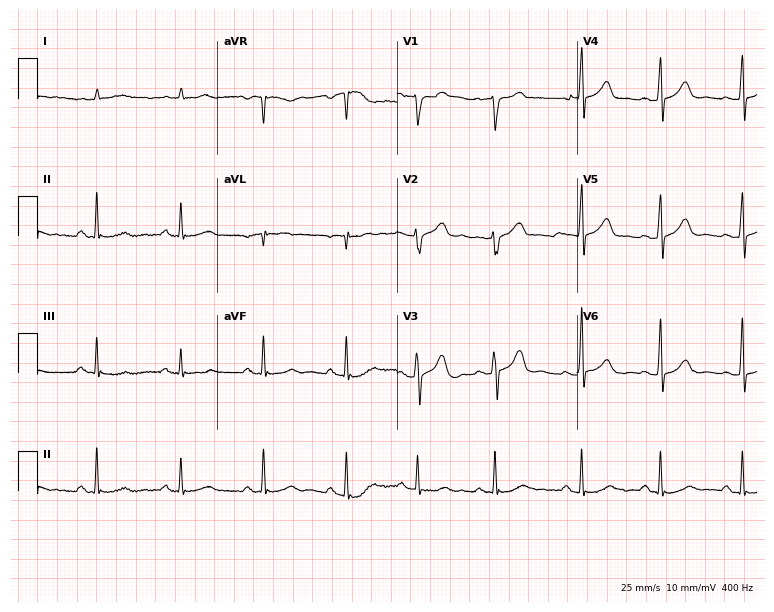
Electrocardiogram (7.3-second recording at 400 Hz), a male patient, 78 years old. Of the six screened findings (first-degree AV block, right bundle branch block, left bundle branch block, sinus bradycardia, atrial fibrillation, sinus tachycardia), none is recorded. Only these six findings were labelled.